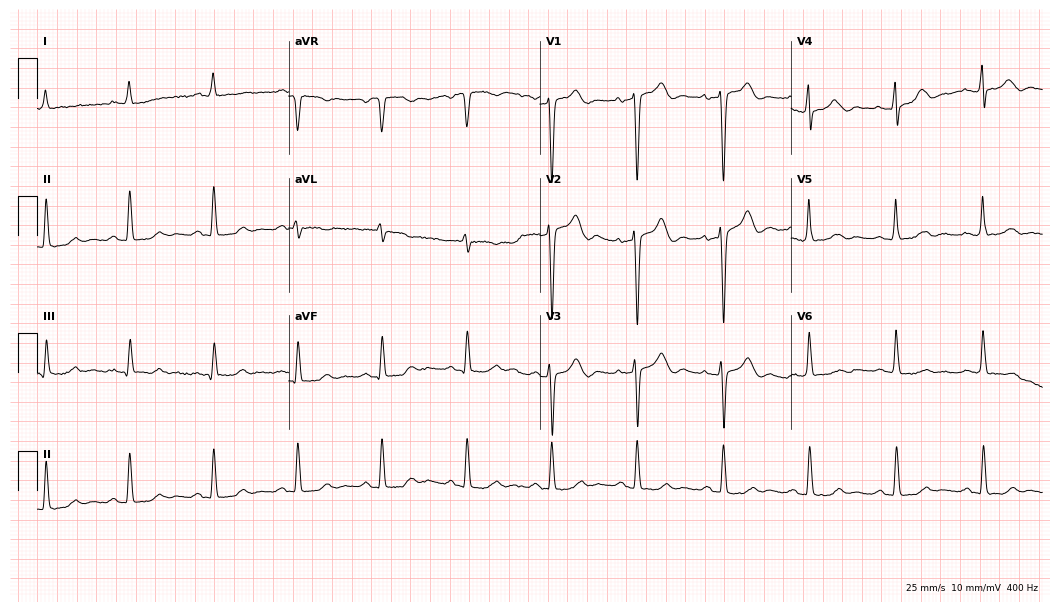
Standard 12-lead ECG recorded from a woman, 57 years old (10.2-second recording at 400 Hz). None of these six findings is recorded: first-degree AV block, right bundle branch block, left bundle branch block, sinus bradycardia, atrial fibrillation, sinus tachycardia.